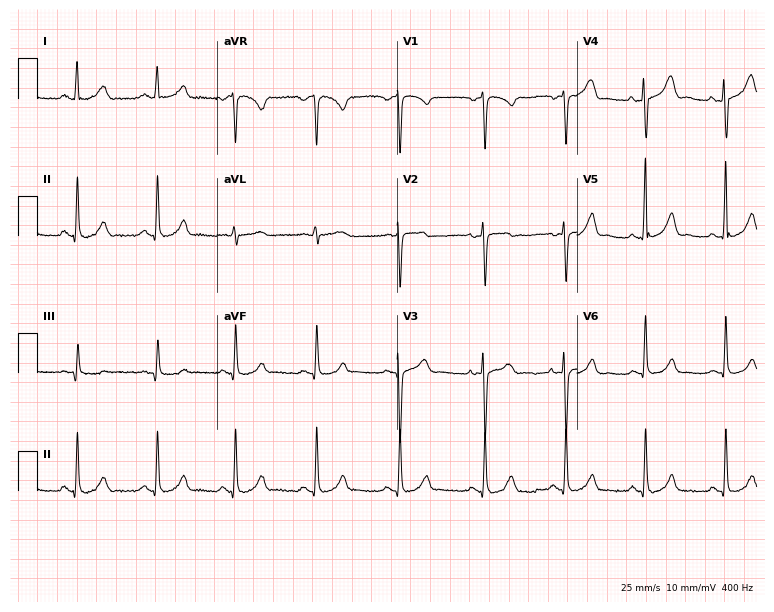
Standard 12-lead ECG recorded from a woman, 38 years old (7.3-second recording at 400 Hz). Read as a normal ECG.